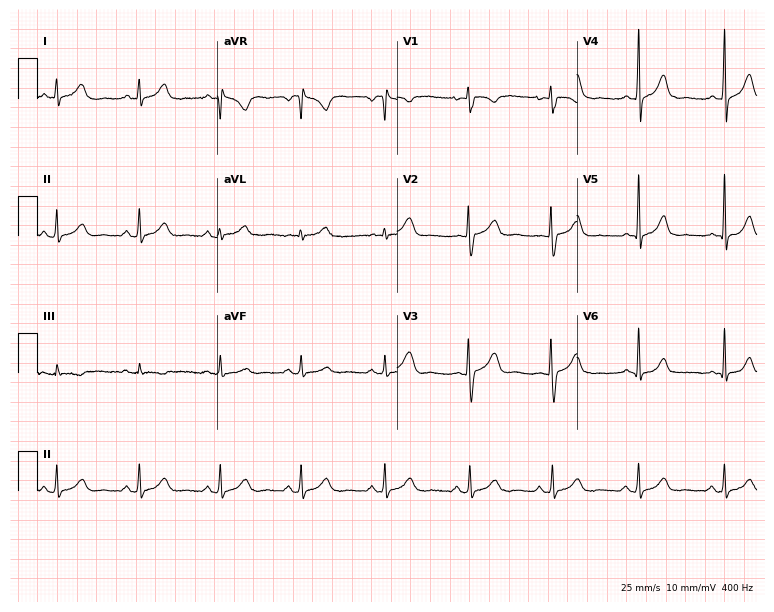
Standard 12-lead ECG recorded from a 38-year-old woman. None of these six findings is recorded: first-degree AV block, right bundle branch block (RBBB), left bundle branch block (LBBB), sinus bradycardia, atrial fibrillation (AF), sinus tachycardia. Findings outside these six are not listed.